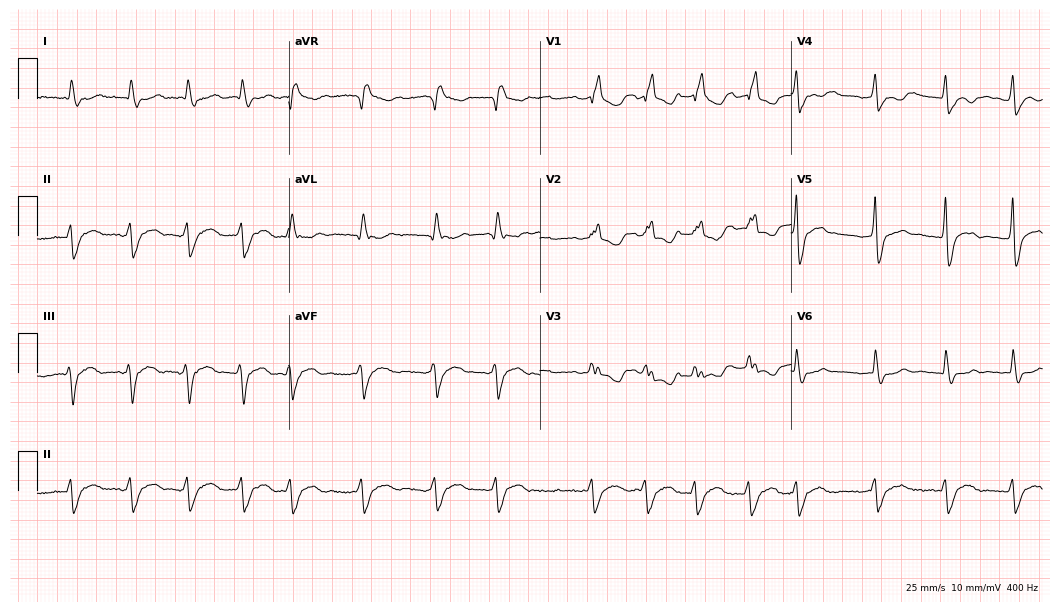
12-lead ECG from a female, 74 years old (10.2-second recording at 400 Hz). Shows right bundle branch block, atrial fibrillation.